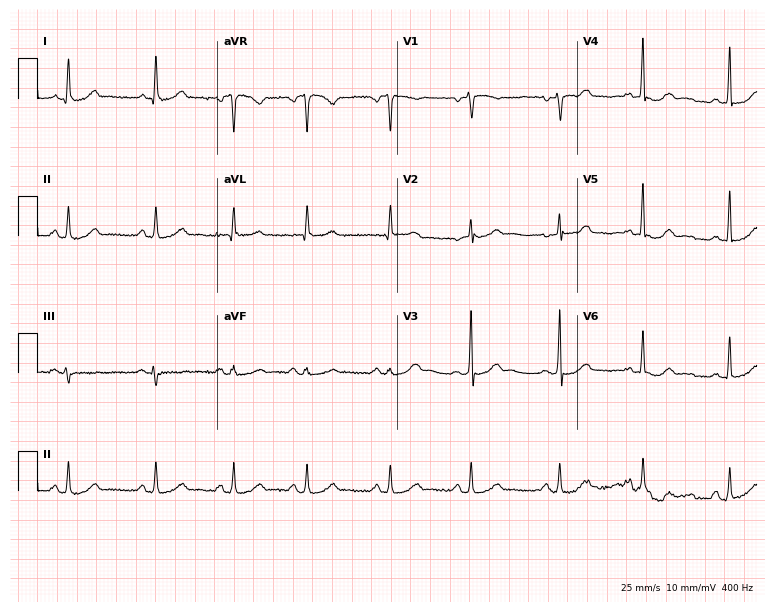
Resting 12-lead electrocardiogram (7.3-second recording at 400 Hz). Patient: a female, 43 years old. None of these six findings is recorded: first-degree AV block, right bundle branch block, left bundle branch block, sinus bradycardia, atrial fibrillation, sinus tachycardia. Only these six findings were labelled.